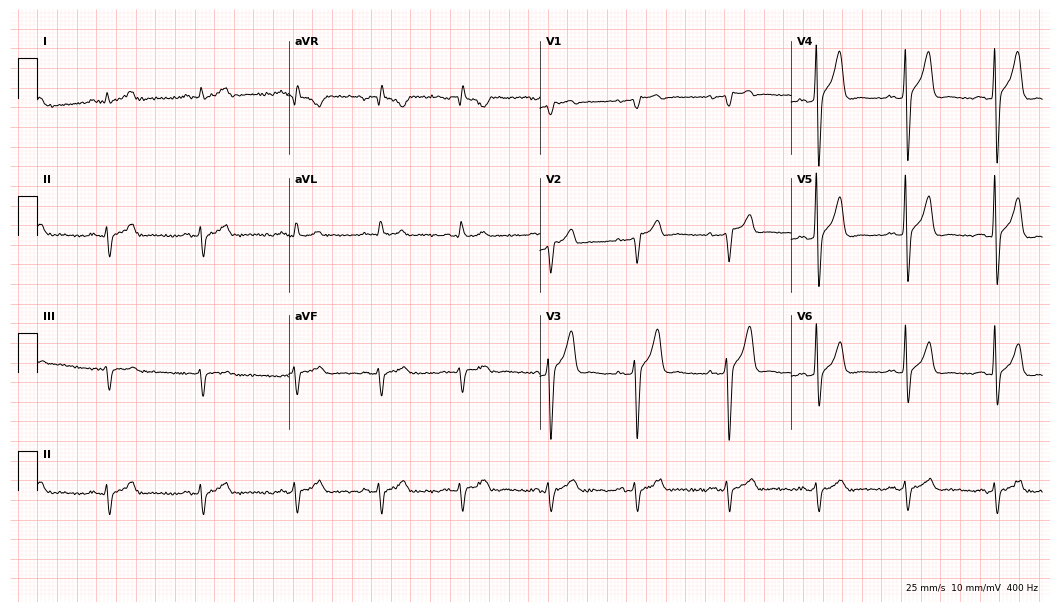
12-lead ECG from a male patient, 47 years old. Screened for six findings — first-degree AV block, right bundle branch block, left bundle branch block, sinus bradycardia, atrial fibrillation, sinus tachycardia — none is recorded.